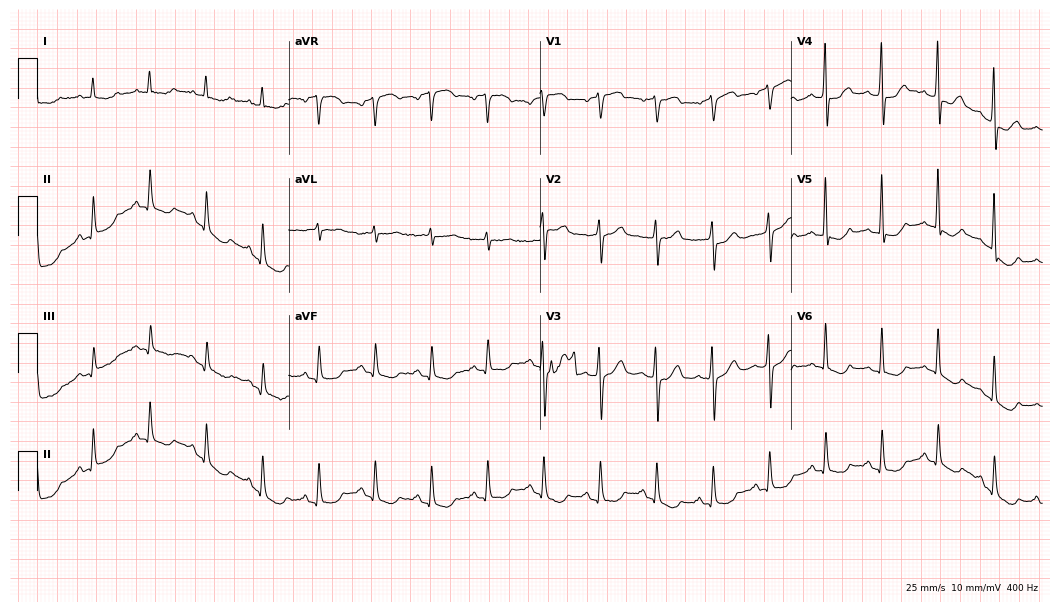
12-lead ECG (10.2-second recording at 400 Hz) from a female, 58 years old. Screened for six findings — first-degree AV block, right bundle branch block, left bundle branch block, sinus bradycardia, atrial fibrillation, sinus tachycardia — none is recorded. Only these six findings were labelled.